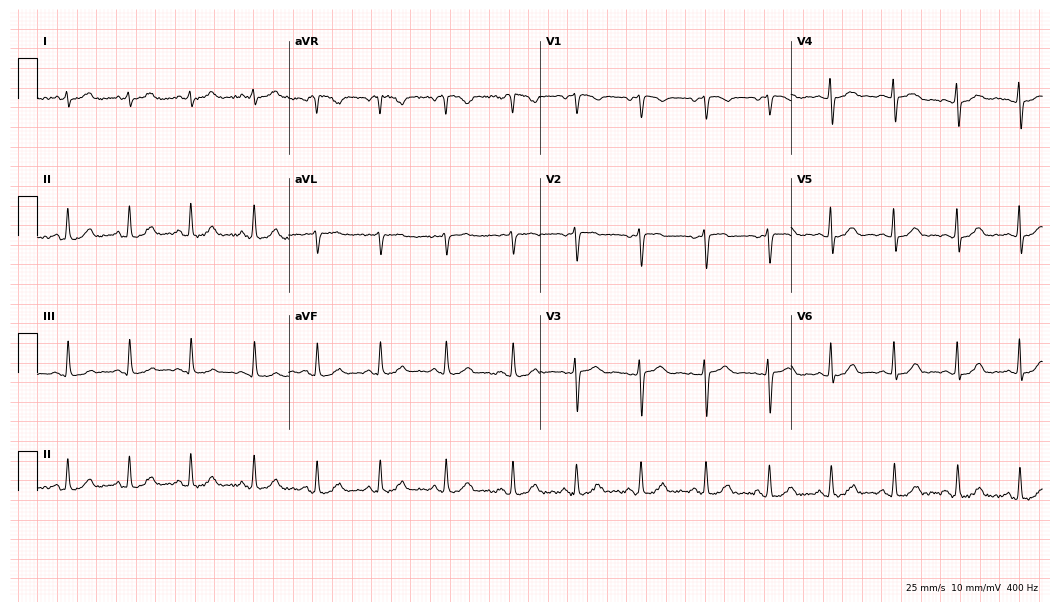
Resting 12-lead electrocardiogram. Patient: a female, 43 years old. Read as a normal ECG.